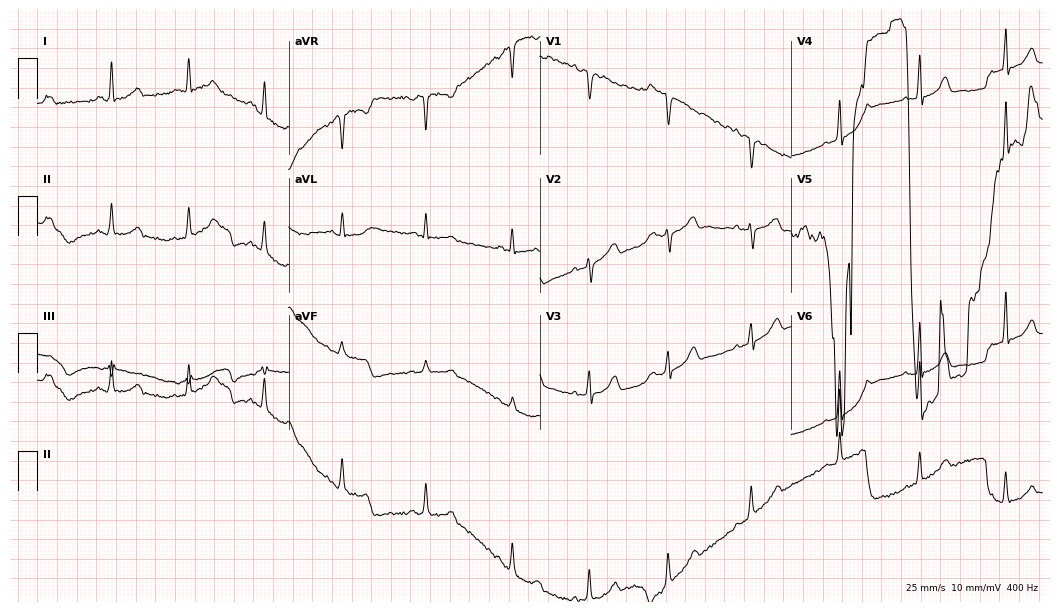
ECG (10.2-second recording at 400 Hz) — a female, 37 years old. Screened for six findings — first-degree AV block, right bundle branch block, left bundle branch block, sinus bradycardia, atrial fibrillation, sinus tachycardia — none is recorded. Other findings, if any, are not listed.